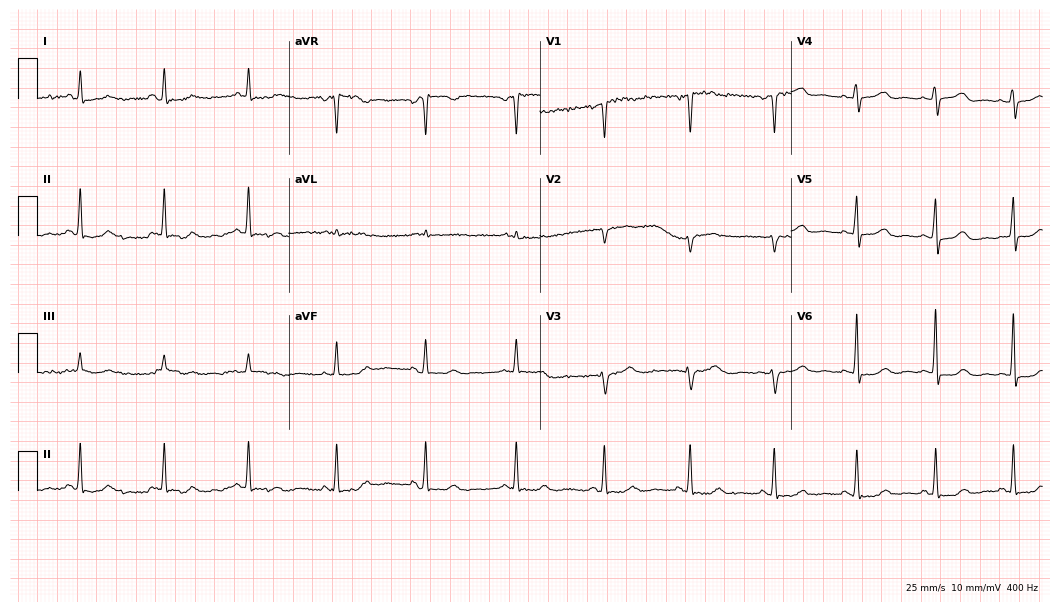
Resting 12-lead electrocardiogram. Patient: a 58-year-old female. None of these six findings is recorded: first-degree AV block, right bundle branch block, left bundle branch block, sinus bradycardia, atrial fibrillation, sinus tachycardia. Other findings, if any, are not listed.